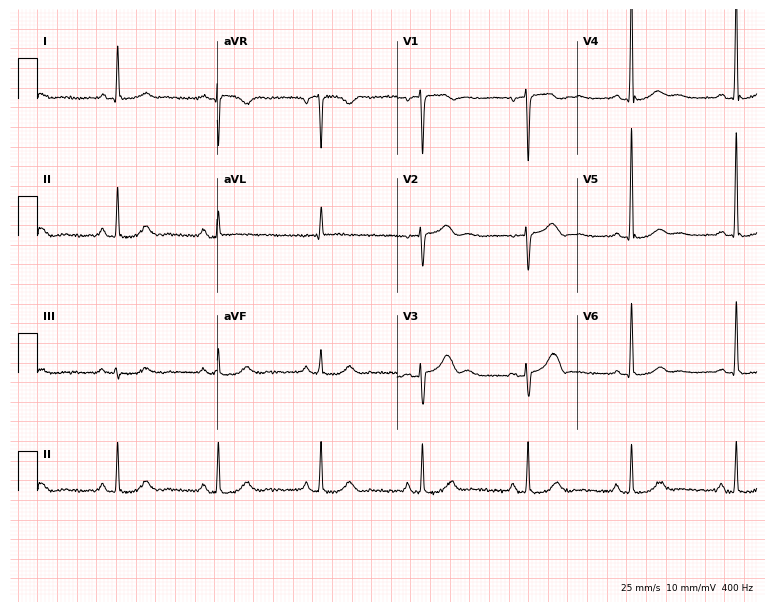
Resting 12-lead electrocardiogram (7.3-second recording at 400 Hz). Patient: a 48-year-old female. Read as a normal ECG.